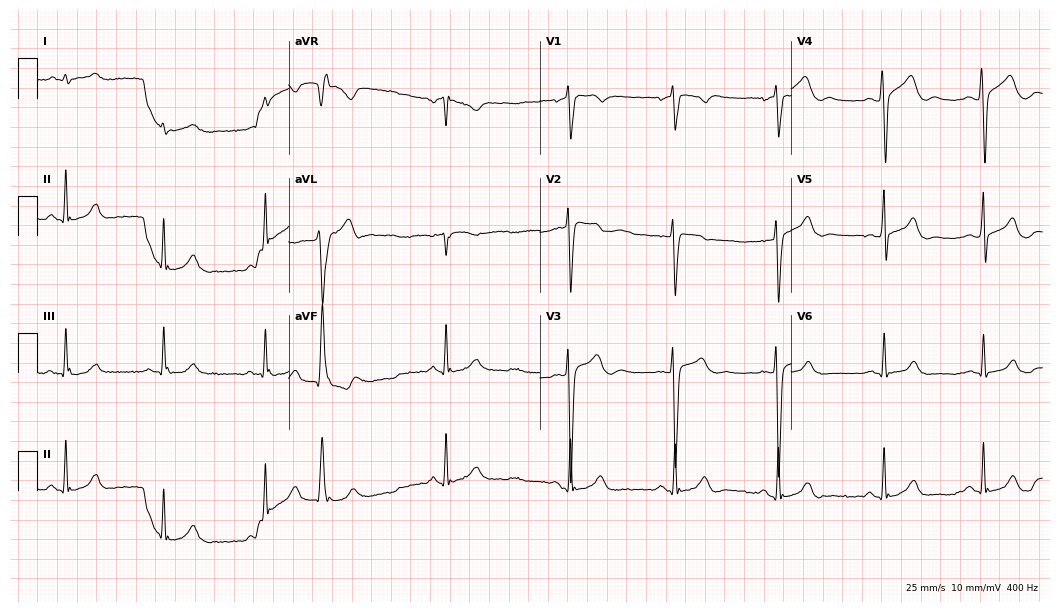
Electrocardiogram, a 20-year-old male. Of the six screened findings (first-degree AV block, right bundle branch block, left bundle branch block, sinus bradycardia, atrial fibrillation, sinus tachycardia), none is recorded. Findings outside these six are not listed.